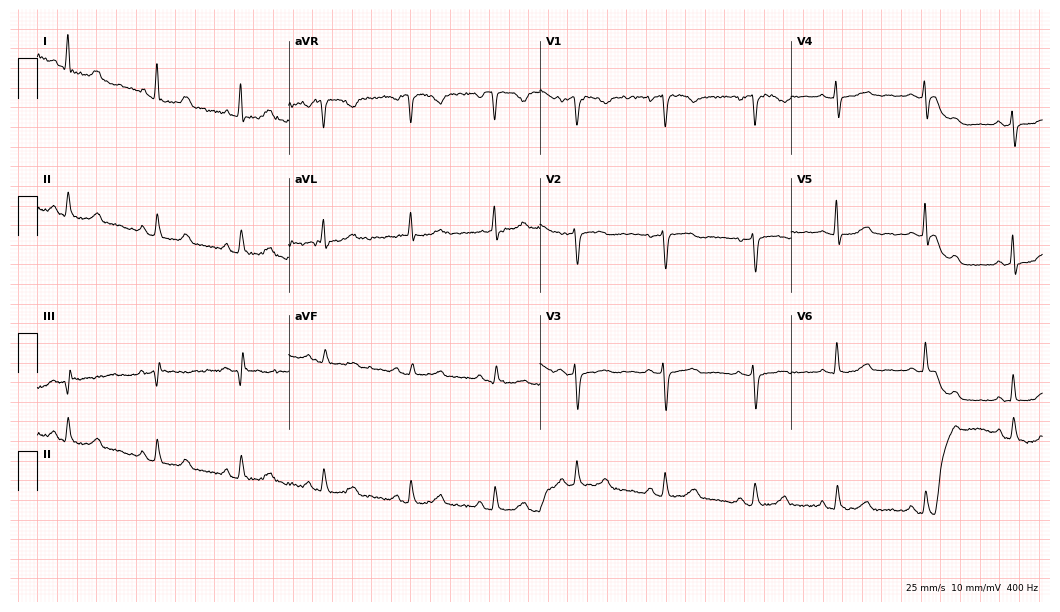
Resting 12-lead electrocardiogram. Patient: a 50-year-old female. None of these six findings is recorded: first-degree AV block, right bundle branch block, left bundle branch block, sinus bradycardia, atrial fibrillation, sinus tachycardia.